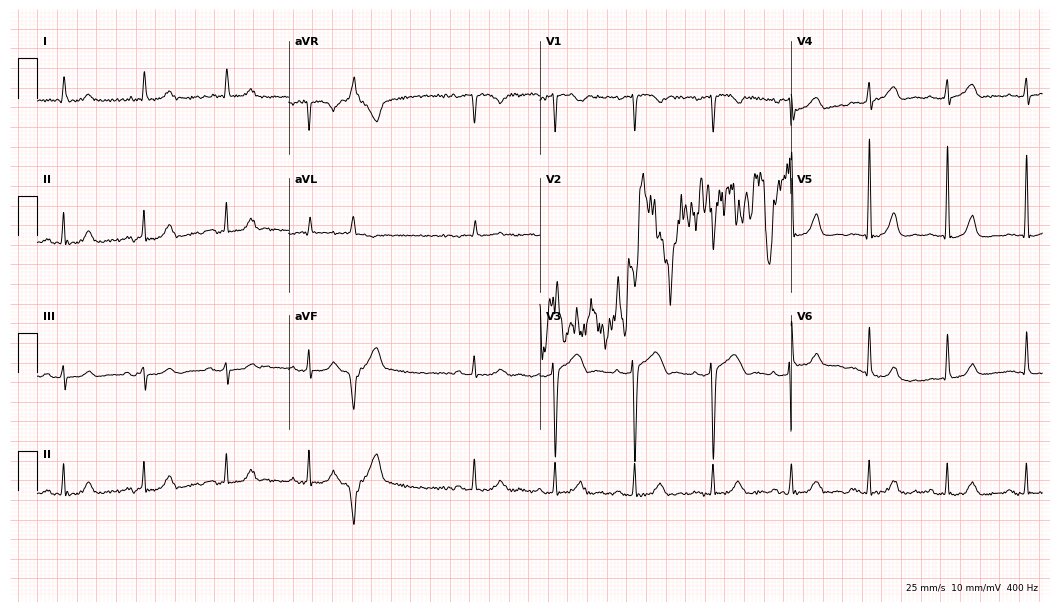
12-lead ECG (10.2-second recording at 400 Hz) from a 76-year-old male patient. Screened for six findings — first-degree AV block, right bundle branch block, left bundle branch block, sinus bradycardia, atrial fibrillation, sinus tachycardia — none is recorded.